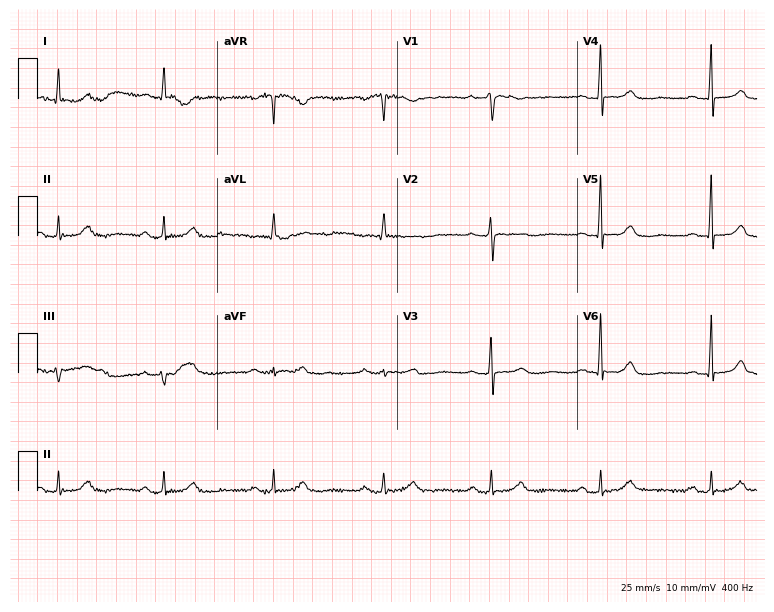
12-lead ECG from a 60-year-old woman. Shows first-degree AV block.